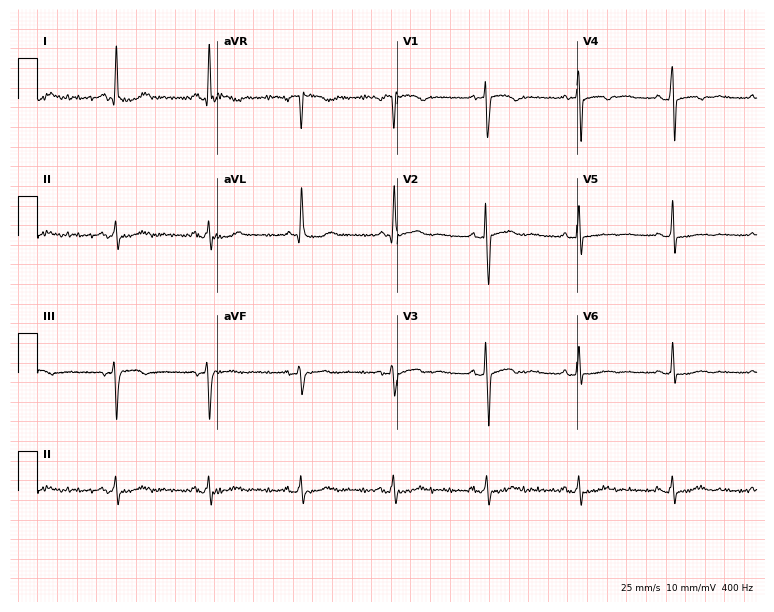
12-lead ECG from a 66-year-old female patient (7.3-second recording at 400 Hz). No first-degree AV block, right bundle branch block (RBBB), left bundle branch block (LBBB), sinus bradycardia, atrial fibrillation (AF) or sinus tachycardia recorded for this tracing. Other findings, if any, are not listed.